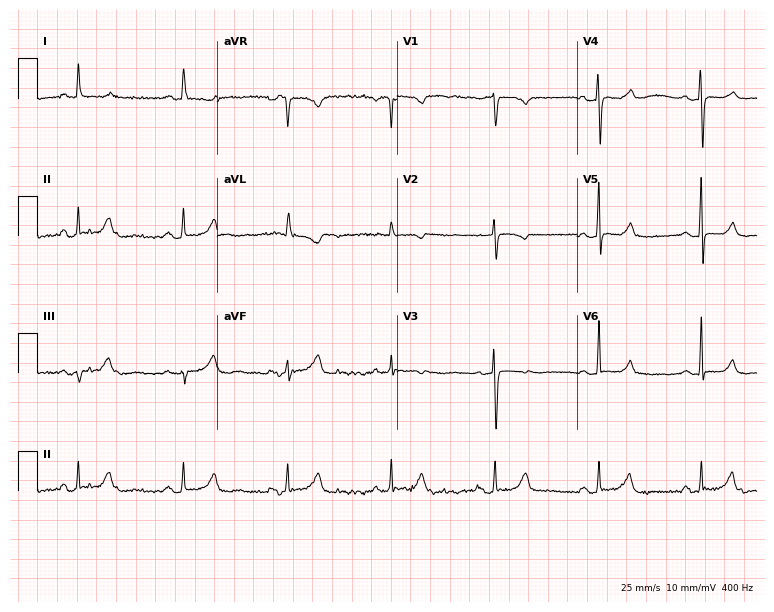
ECG — an 84-year-old female. Labelled as a normal ECG.